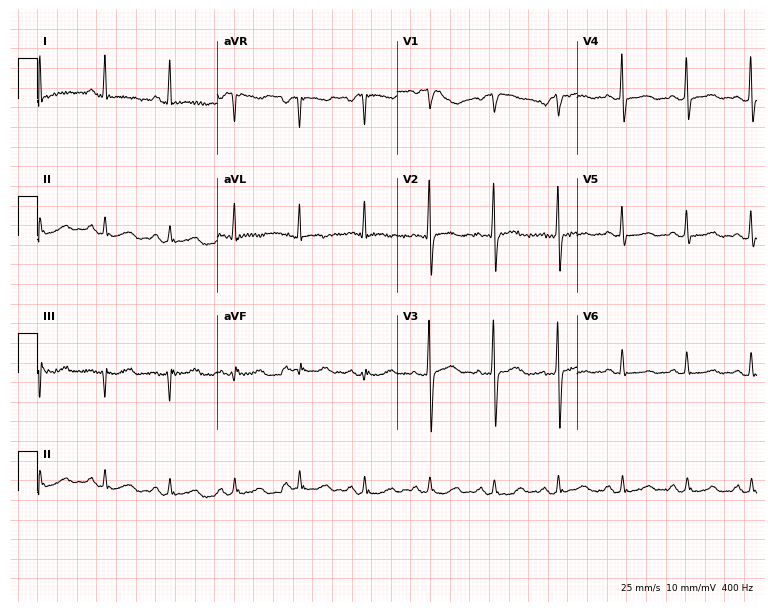
Resting 12-lead electrocardiogram (7.3-second recording at 400 Hz). Patient: an 80-year-old woman. None of these six findings is recorded: first-degree AV block, right bundle branch block, left bundle branch block, sinus bradycardia, atrial fibrillation, sinus tachycardia.